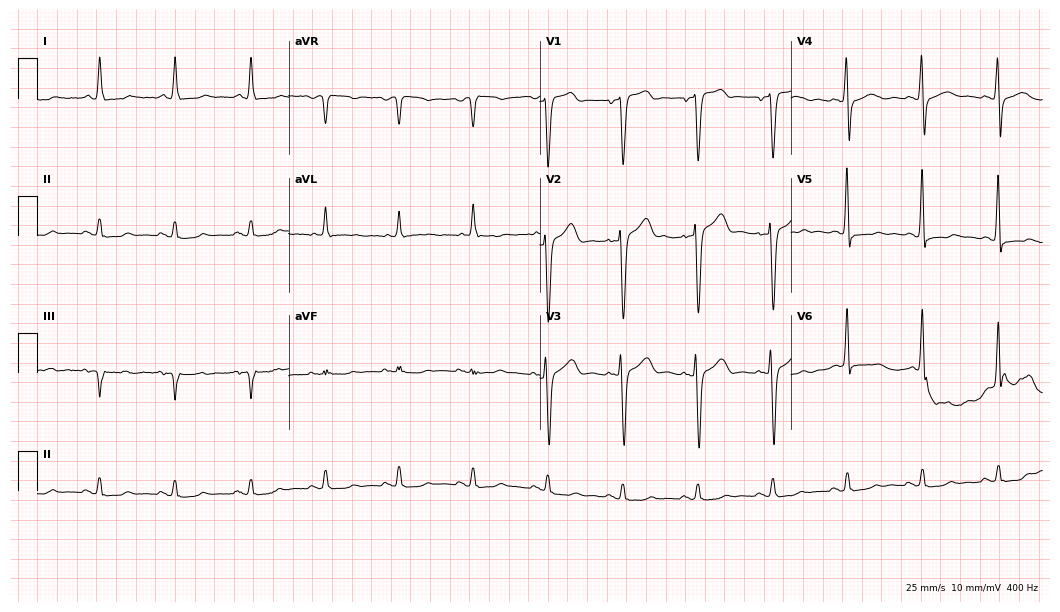
Resting 12-lead electrocardiogram (10.2-second recording at 400 Hz). Patient: a male, 53 years old. None of these six findings is recorded: first-degree AV block, right bundle branch block, left bundle branch block, sinus bradycardia, atrial fibrillation, sinus tachycardia.